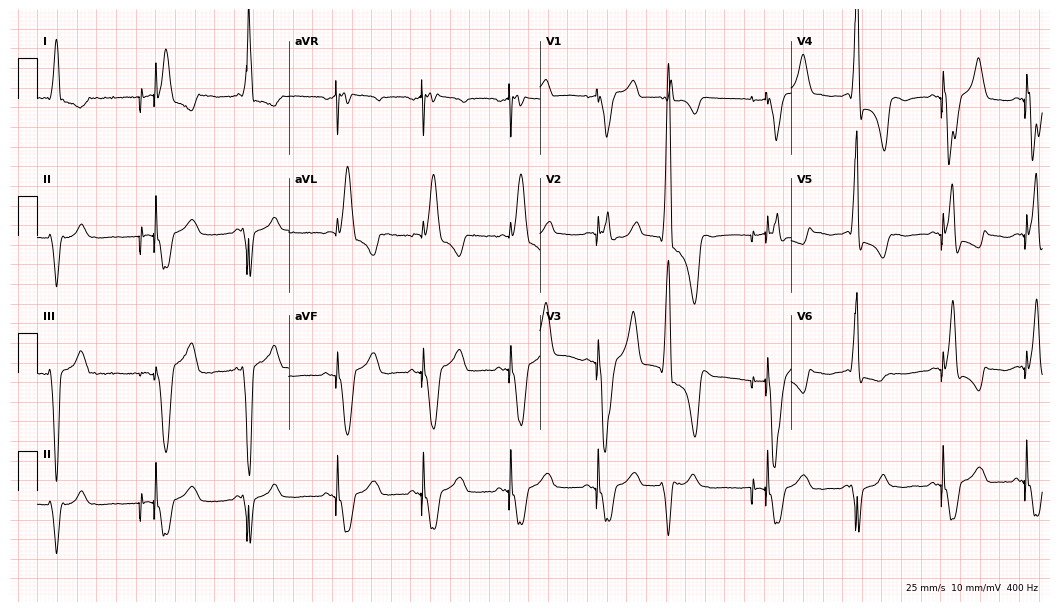
ECG — a woman, 78 years old. Screened for six findings — first-degree AV block, right bundle branch block, left bundle branch block, sinus bradycardia, atrial fibrillation, sinus tachycardia — none is recorded.